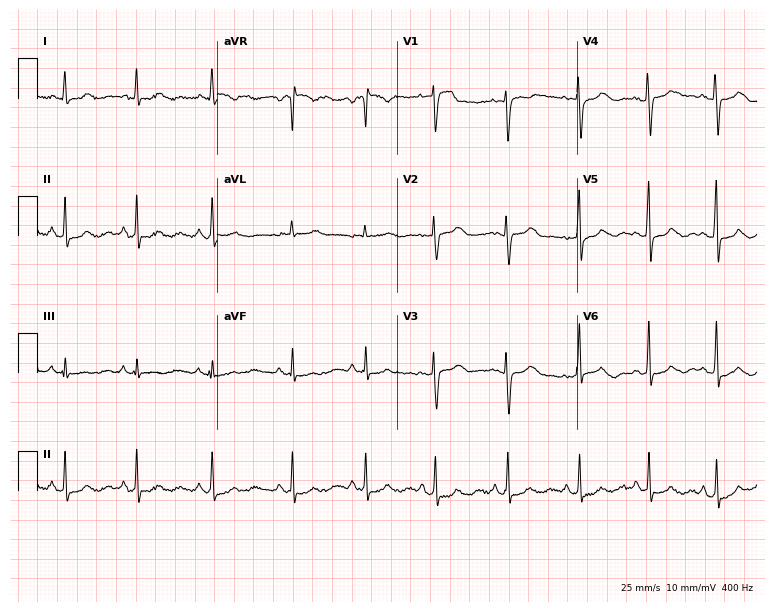
Resting 12-lead electrocardiogram. Patient: a male, 36 years old. None of these six findings is recorded: first-degree AV block, right bundle branch block, left bundle branch block, sinus bradycardia, atrial fibrillation, sinus tachycardia.